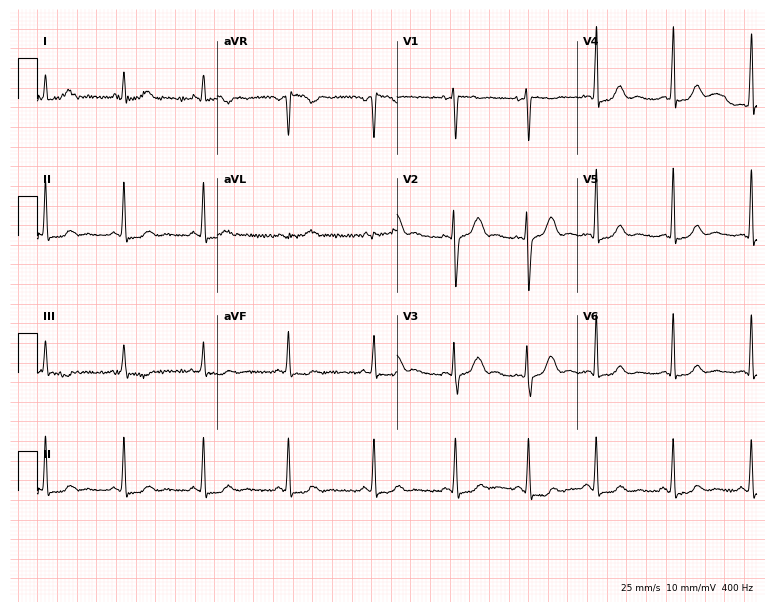
12-lead ECG from a female patient, 24 years old. No first-degree AV block, right bundle branch block (RBBB), left bundle branch block (LBBB), sinus bradycardia, atrial fibrillation (AF) or sinus tachycardia recorded for this tracing.